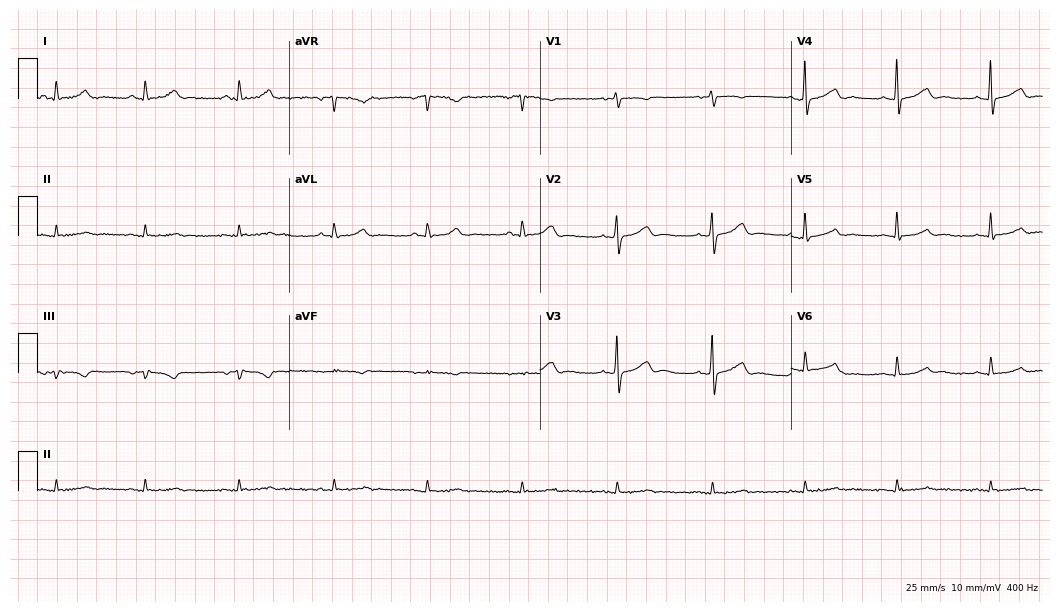
12-lead ECG from a male, 82 years old. Labelled as a normal ECG.